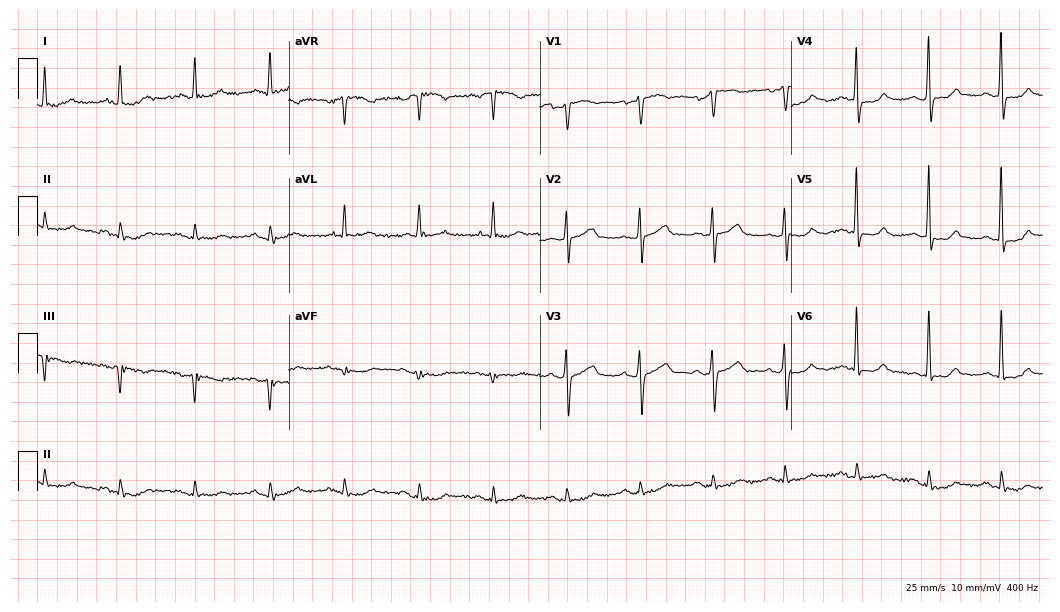
12-lead ECG from a 70-year-old male patient. Labelled as a normal ECG.